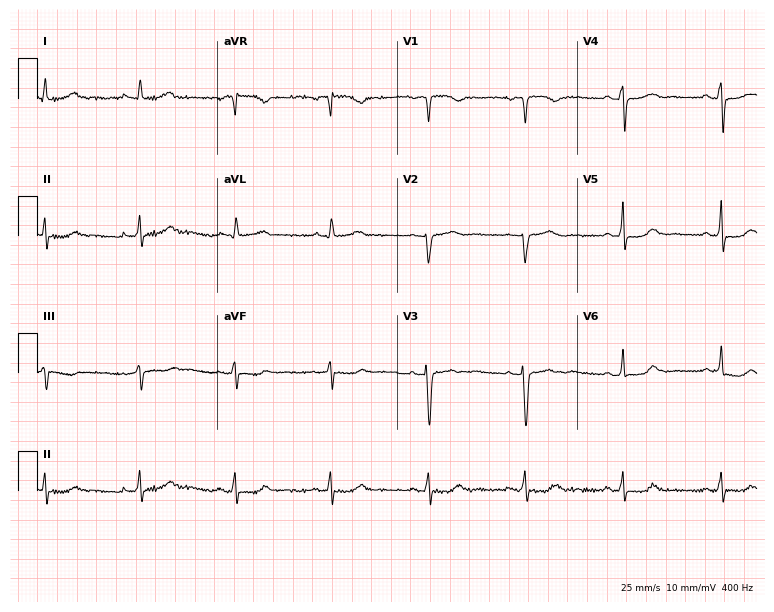
Resting 12-lead electrocardiogram (7.3-second recording at 400 Hz). Patient: a 47-year-old female. Read as a normal ECG.